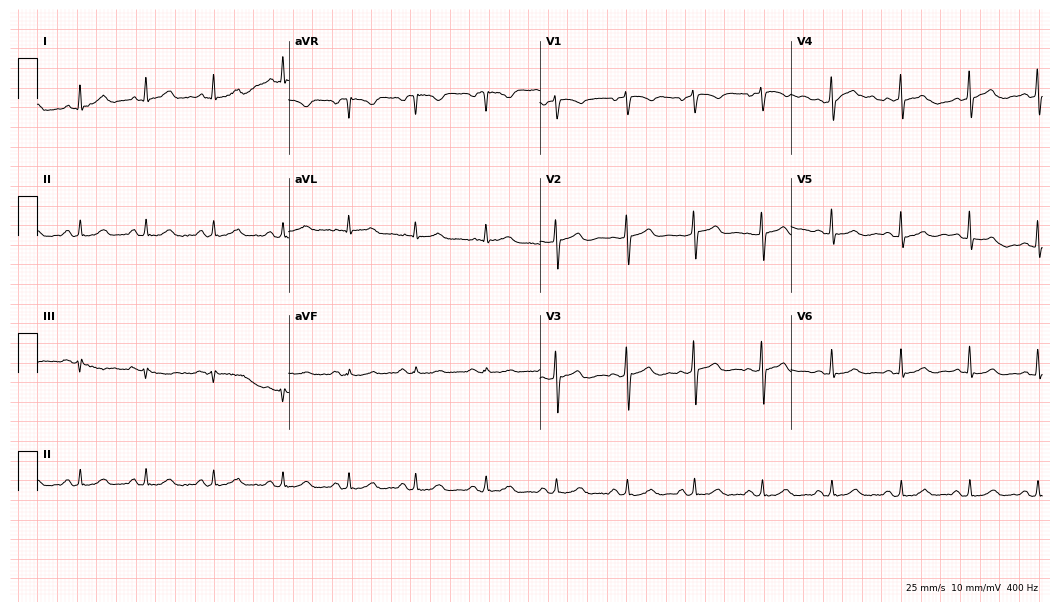
Resting 12-lead electrocardiogram. Patient: a woman, 51 years old. Read as a normal ECG.